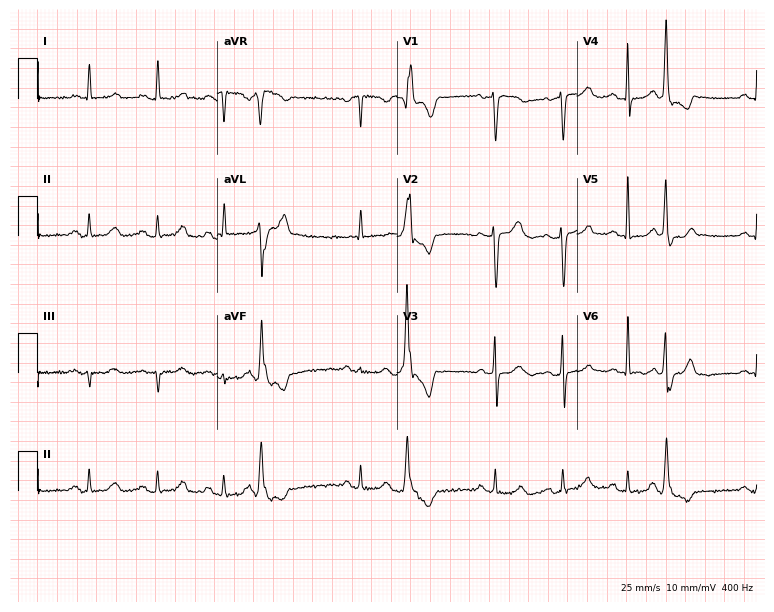
Electrocardiogram, a female, 79 years old. Of the six screened findings (first-degree AV block, right bundle branch block, left bundle branch block, sinus bradycardia, atrial fibrillation, sinus tachycardia), none is recorded.